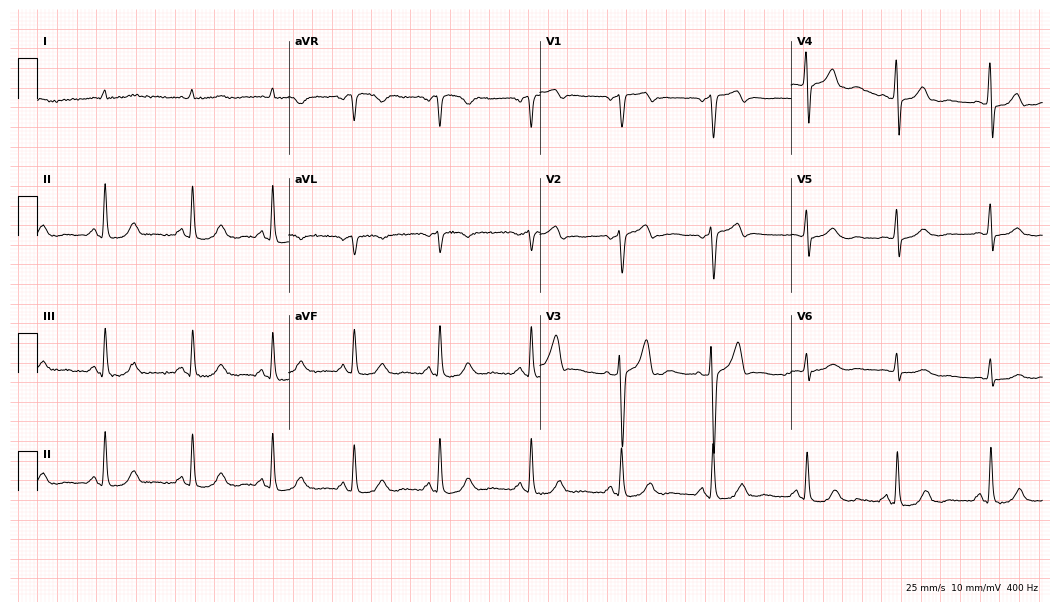
Resting 12-lead electrocardiogram (10.2-second recording at 400 Hz). Patient: a 73-year-old male. Read as a normal ECG.